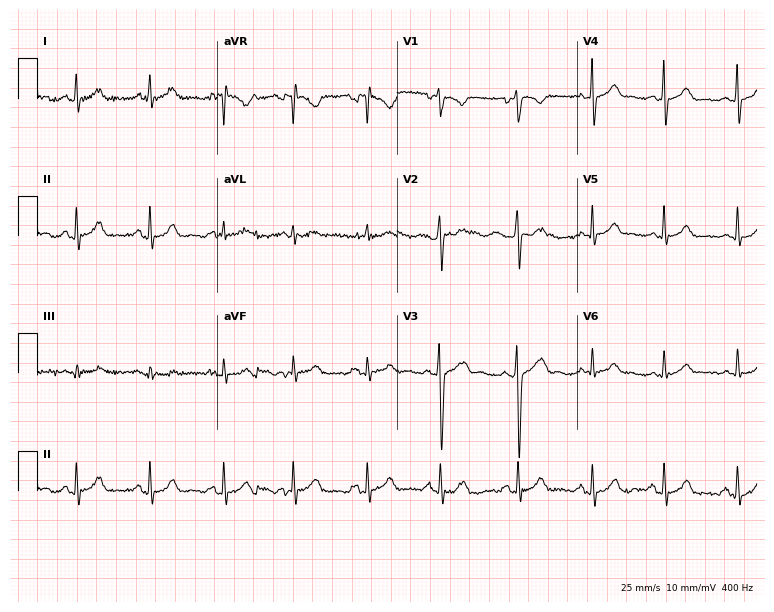
Standard 12-lead ECG recorded from a 28-year-old woman. Read as a normal ECG.